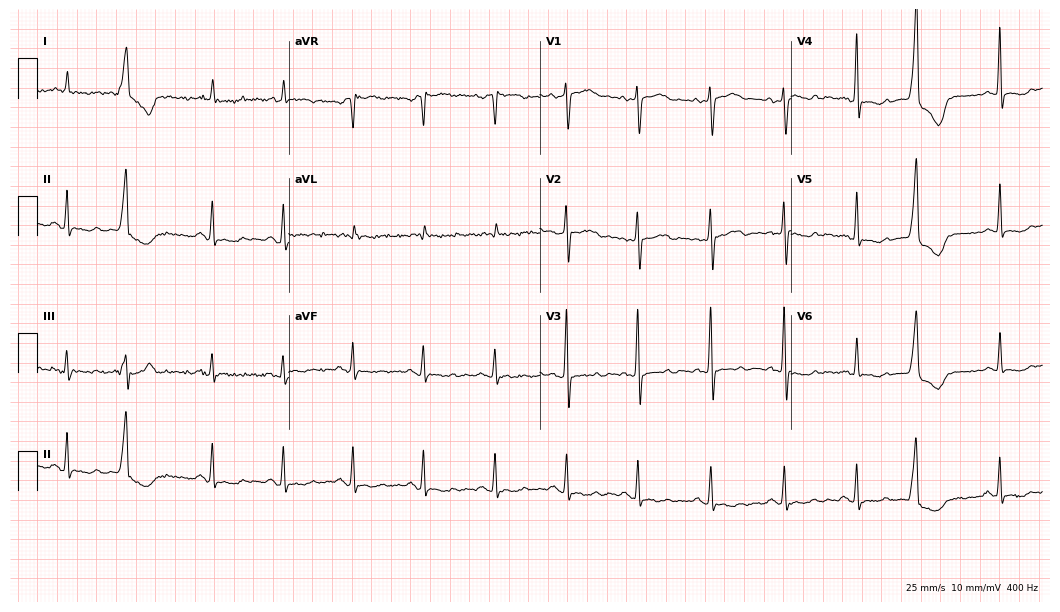
12-lead ECG (10.2-second recording at 400 Hz) from a 57-year-old female. Screened for six findings — first-degree AV block, right bundle branch block, left bundle branch block, sinus bradycardia, atrial fibrillation, sinus tachycardia — none is recorded. Only these six findings were labelled.